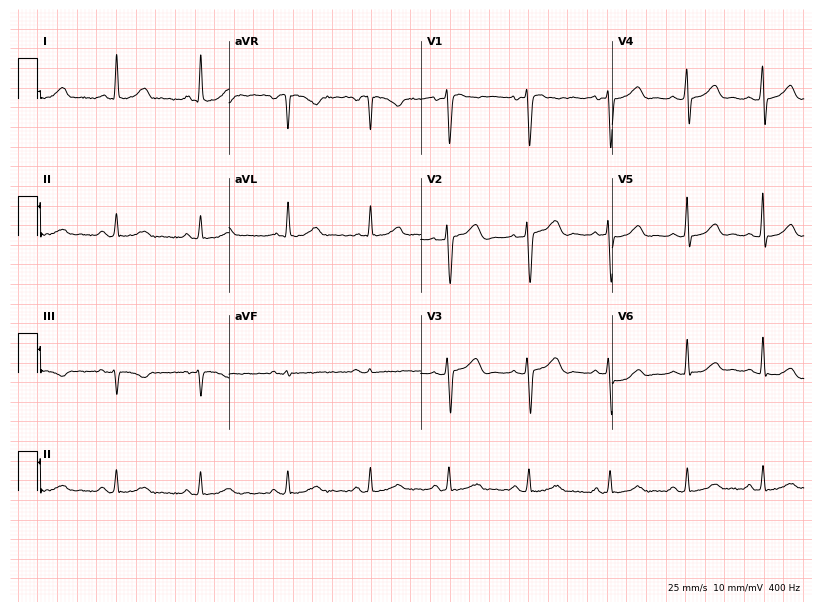
12-lead ECG (7.8-second recording at 400 Hz) from a 42-year-old female. Screened for six findings — first-degree AV block, right bundle branch block, left bundle branch block, sinus bradycardia, atrial fibrillation, sinus tachycardia — none is recorded.